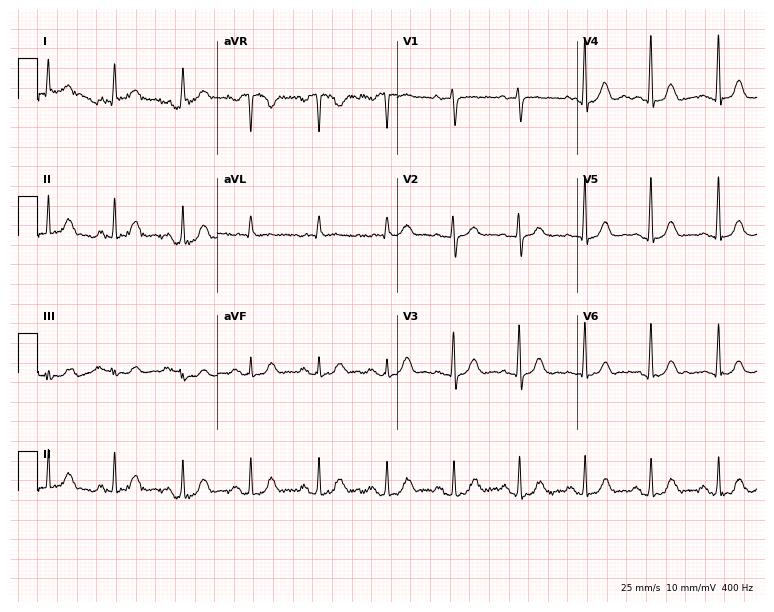
Standard 12-lead ECG recorded from a female, 82 years old. Read as a normal ECG.